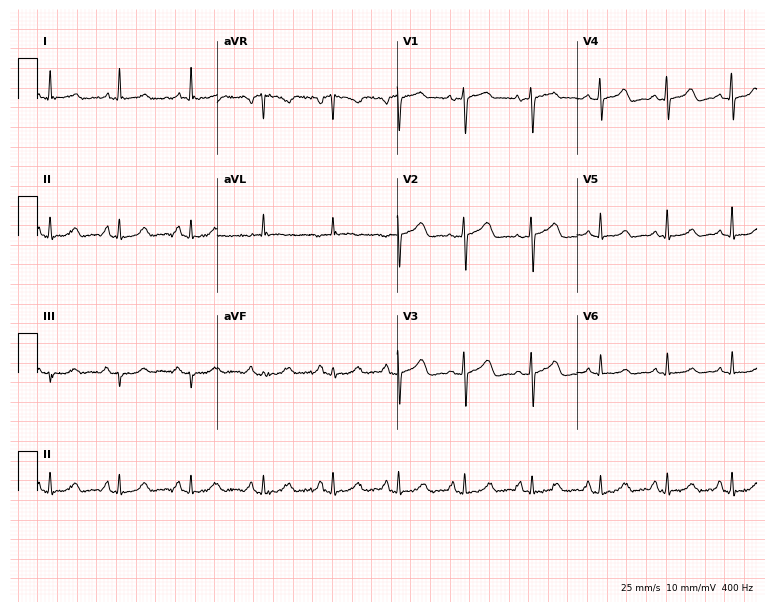
Electrocardiogram (7.3-second recording at 400 Hz), a female patient, 32 years old. Overall reading on record: normal ECG.